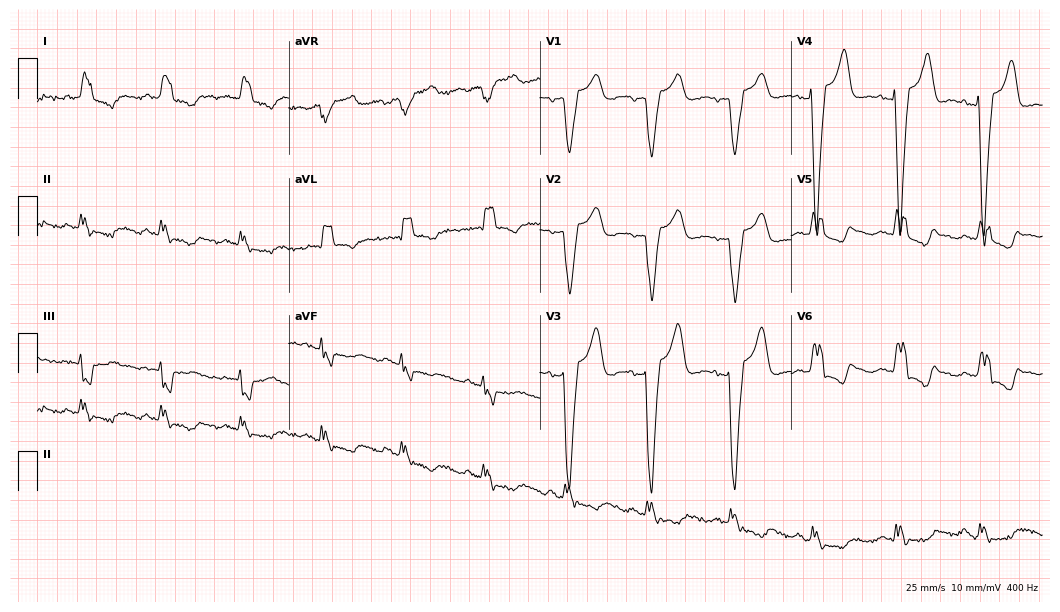
Standard 12-lead ECG recorded from a 78-year-old woman. The tracing shows left bundle branch block (LBBB).